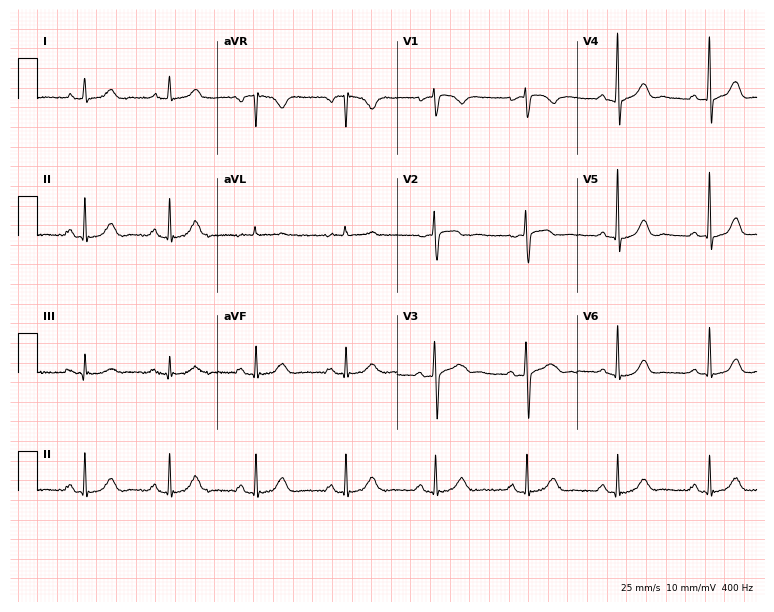
ECG (7.3-second recording at 400 Hz) — a 62-year-old female. Labelled as a normal ECG.